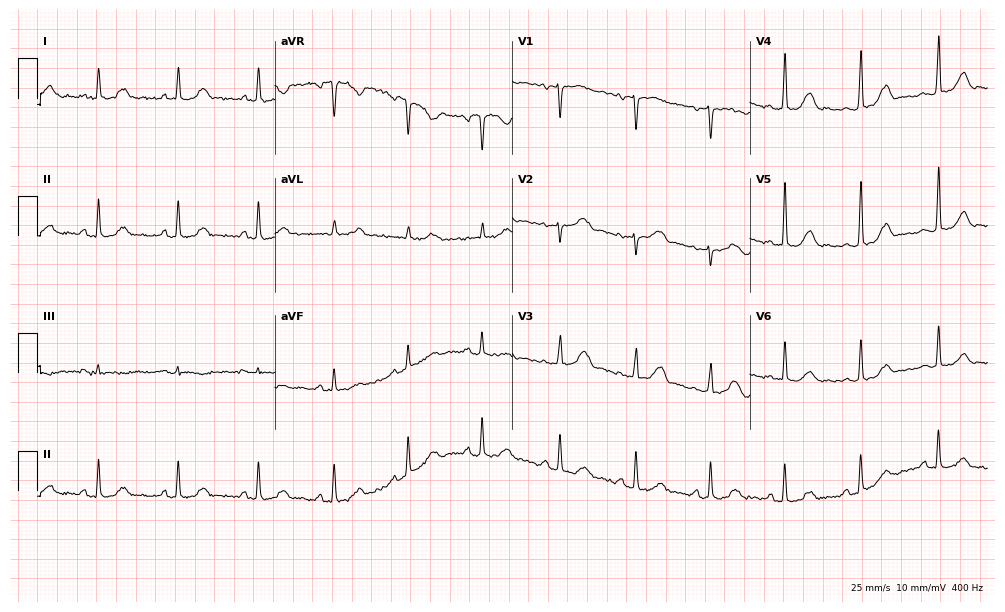
12-lead ECG from a woman, 61 years old. Recorded interpretation: within normal limits.